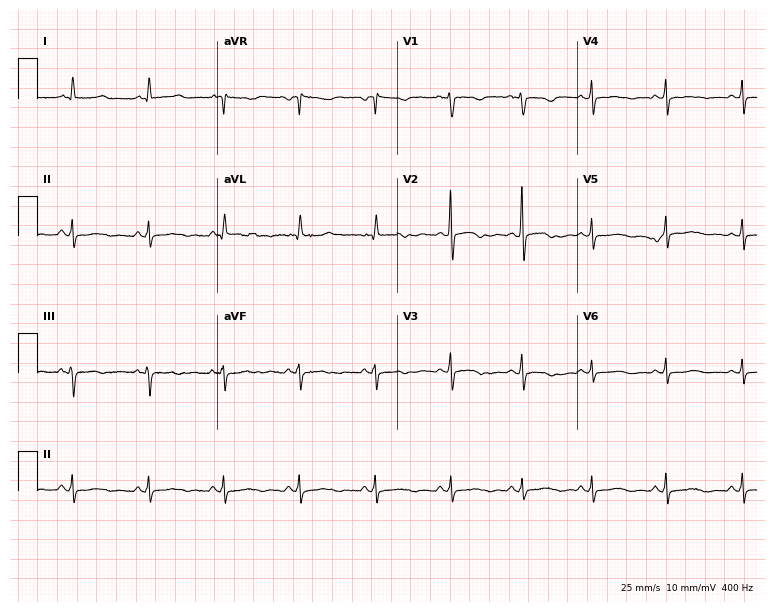
12-lead ECG from a female patient, 40 years old. Recorded interpretation: within normal limits.